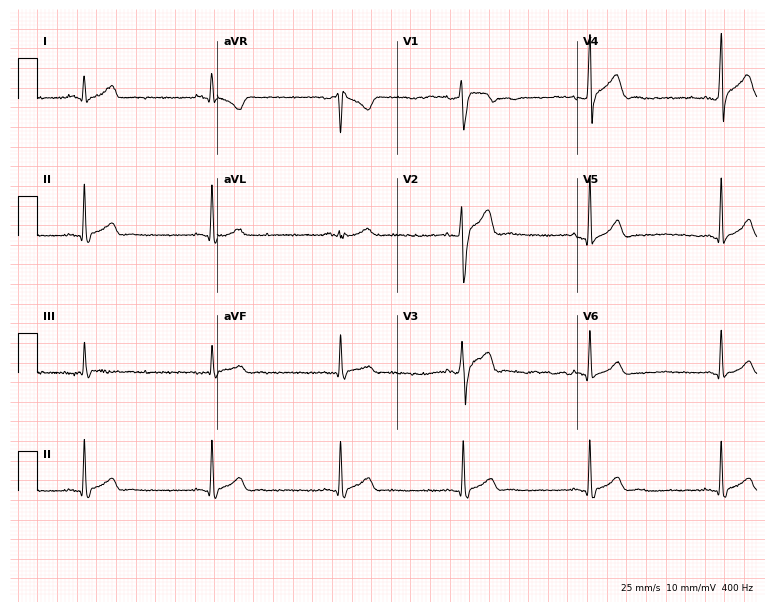
Resting 12-lead electrocardiogram (7.3-second recording at 400 Hz). Patient: a man, 27 years old. The tracing shows sinus bradycardia (a sinus rate of 50 beats per minute or less).